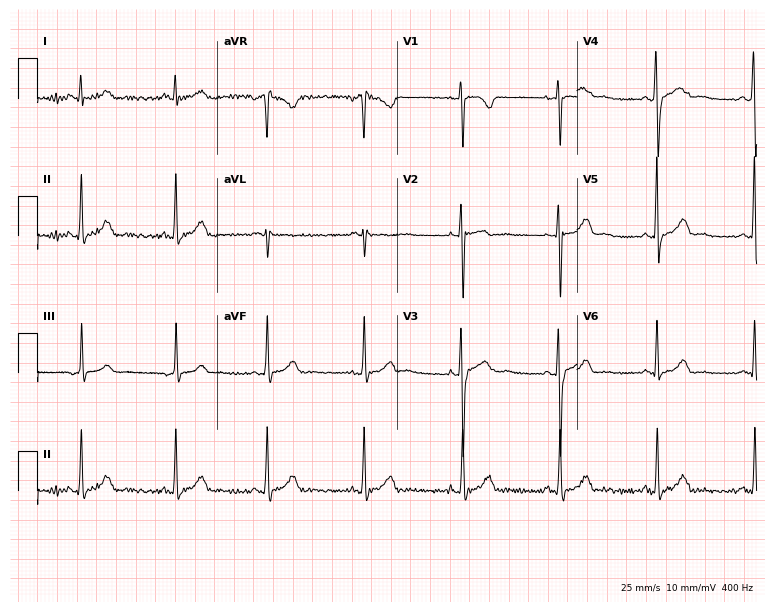
Standard 12-lead ECG recorded from a female, 54 years old. None of these six findings is recorded: first-degree AV block, right bundle branch block (RBBB), left bundle branch block (LBBB), sinus bradycardia, atrial fibrillation (AF), sinus tachycardia. Only these six findings were labelled.